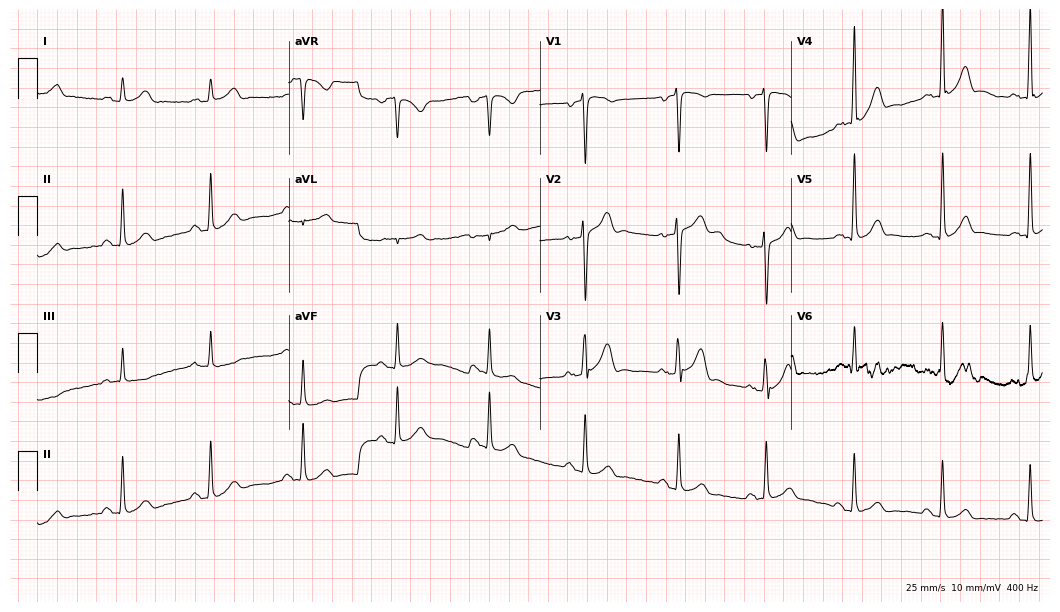
12-lead ECG from a 33-year-old man (10.2-second recording at 400 Hz). Recorded interpretation: within normal limits.